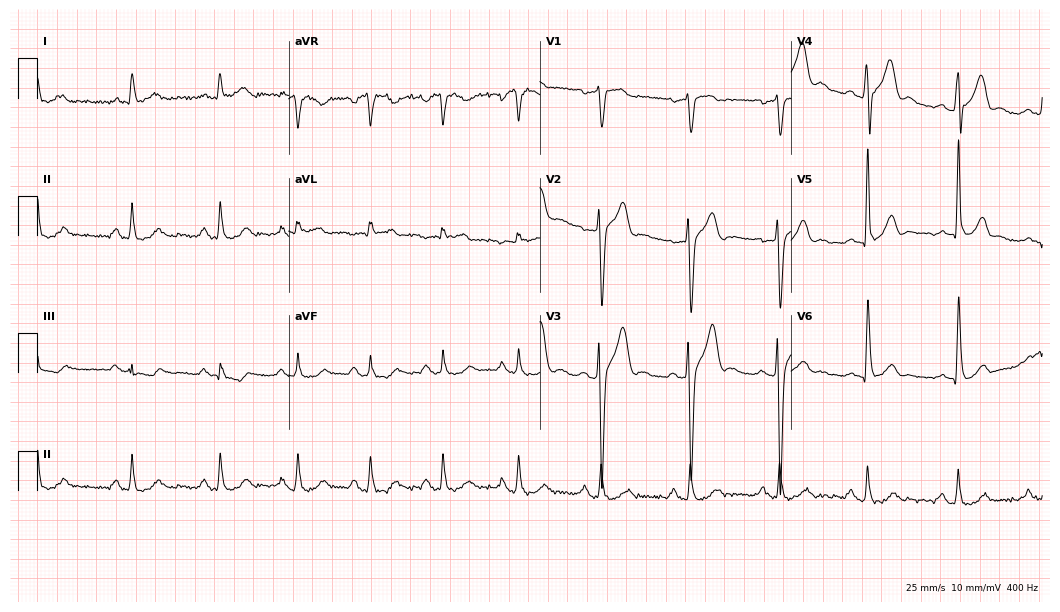
12-lead ECG from a 45-year-old male. Screened for six findings — first-degree AV block, right bundle branch block, left bundle branch block, sinus bradycardia, atrial fibrillation, sinus tachycardia — none is recorded. Findings outside these six are not listed.